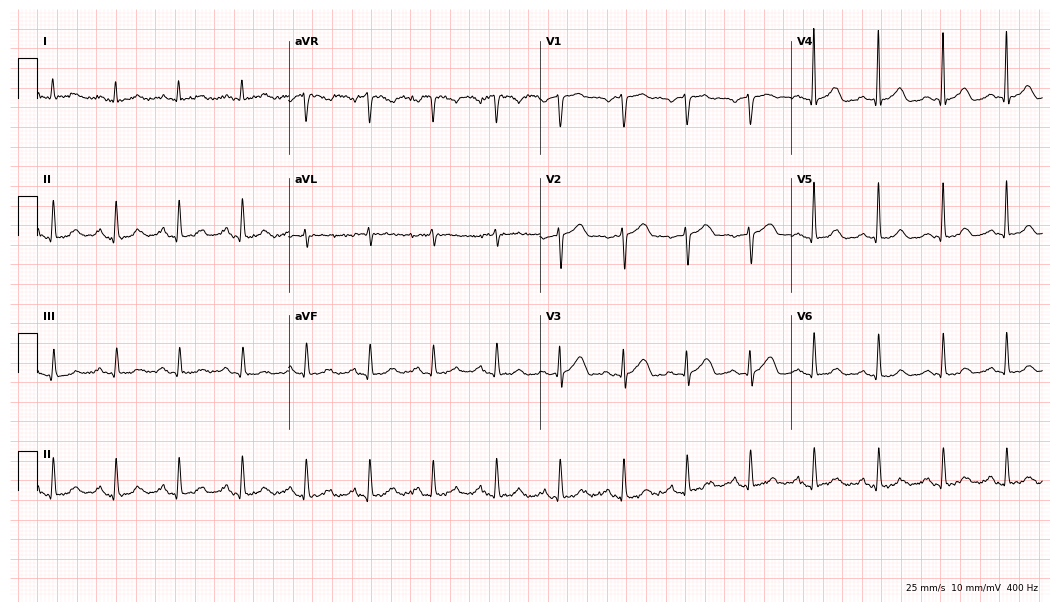
Standard 12-lead ECG recorded from a 76-year-old male patient (10.2-second recording at 400 Hz). Read as a normal ECG.